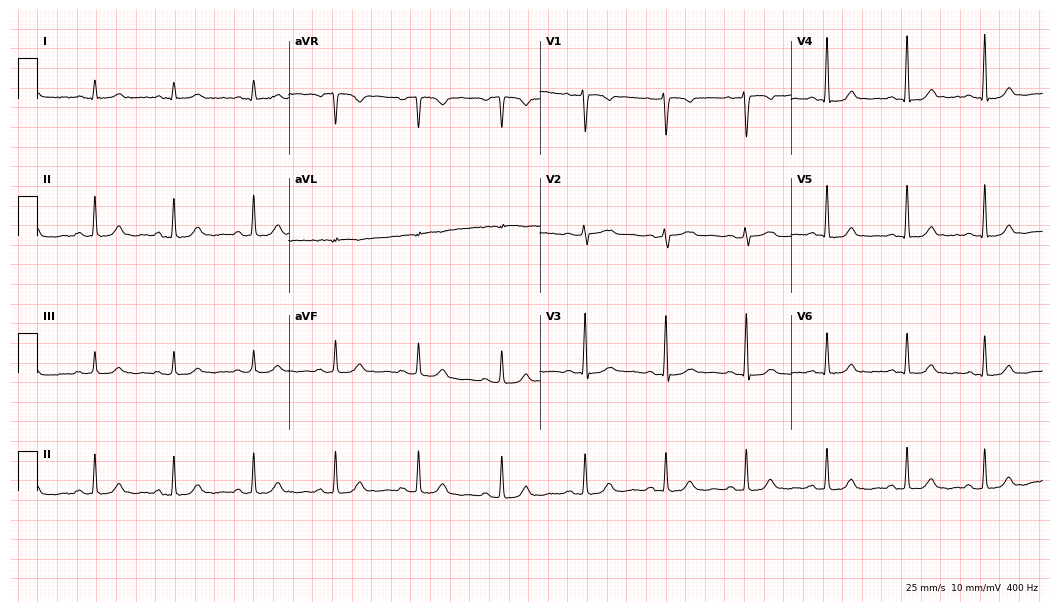
Standard 12-lead ECG recorded from a 47-year-old female patient. Read as a normal ECG.